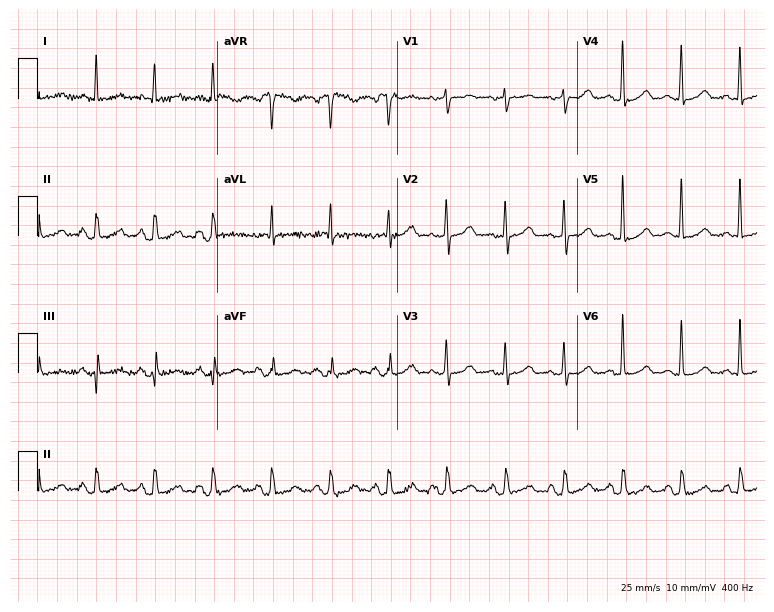
Resting 12-lead electrocardiogram. Patient: a 75-year-old female. None of these six findings is recorded: first-degree AV block, right bundle branch block, left bundle branch block, sinus bradycardia, atrial fibrillation, sinus tachycardia. Other findings, if any, are not listed.